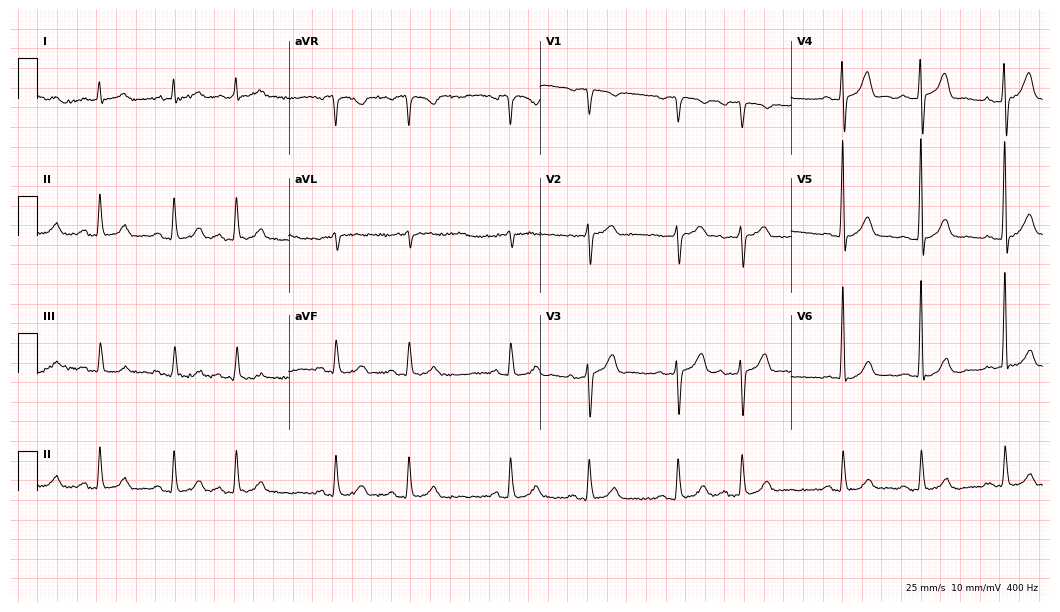
Resting 12-lead electrocardiogram (10.2-second recording at 400 Hz). Patient: an 80-year-old male. Read as a normal ECG.